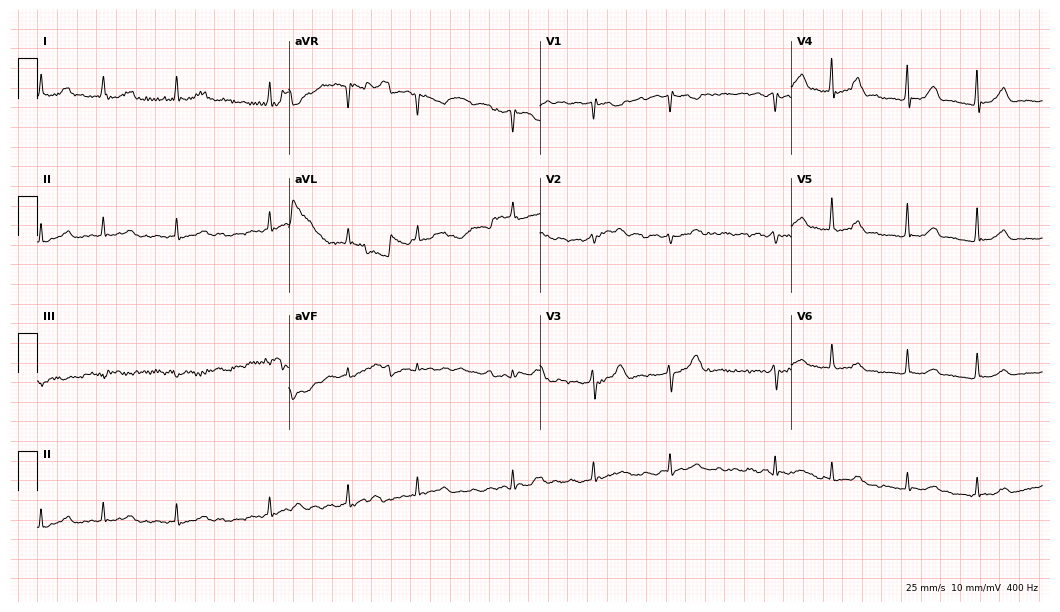
Resting 12-lead electrocardiogram. Patient: a 71-year-old woman. The tracing shows atrial fibrillation (AF).